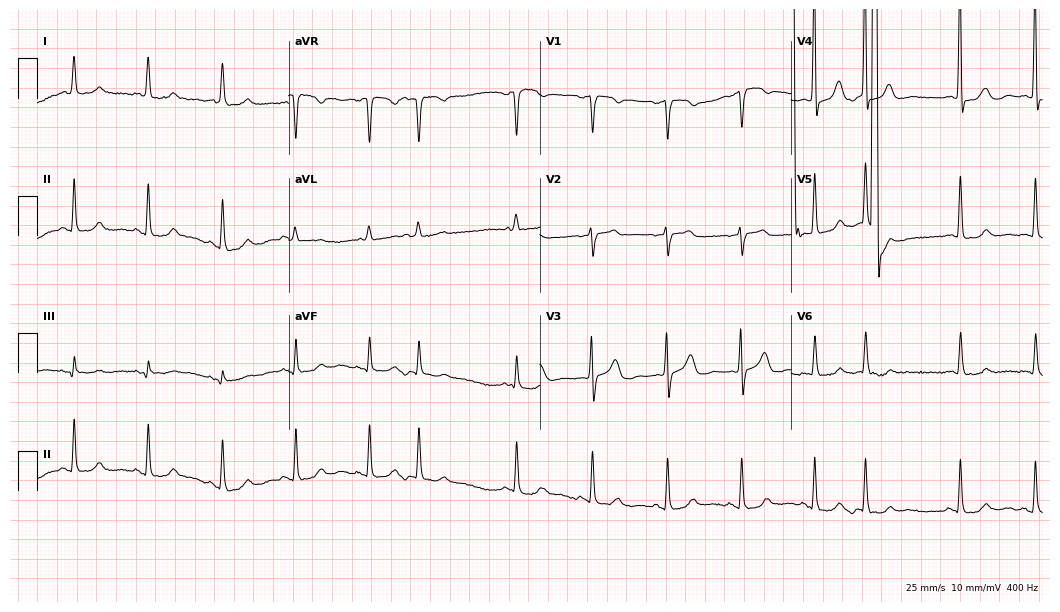
12-lead ECG from a female patient, 76 years old. Screened for six findings — first-degree AV block, right bundle branch block, left bundle branch block, sinus bradycardia, atrial fibrillation, sinus tachycardia — none is recorded.